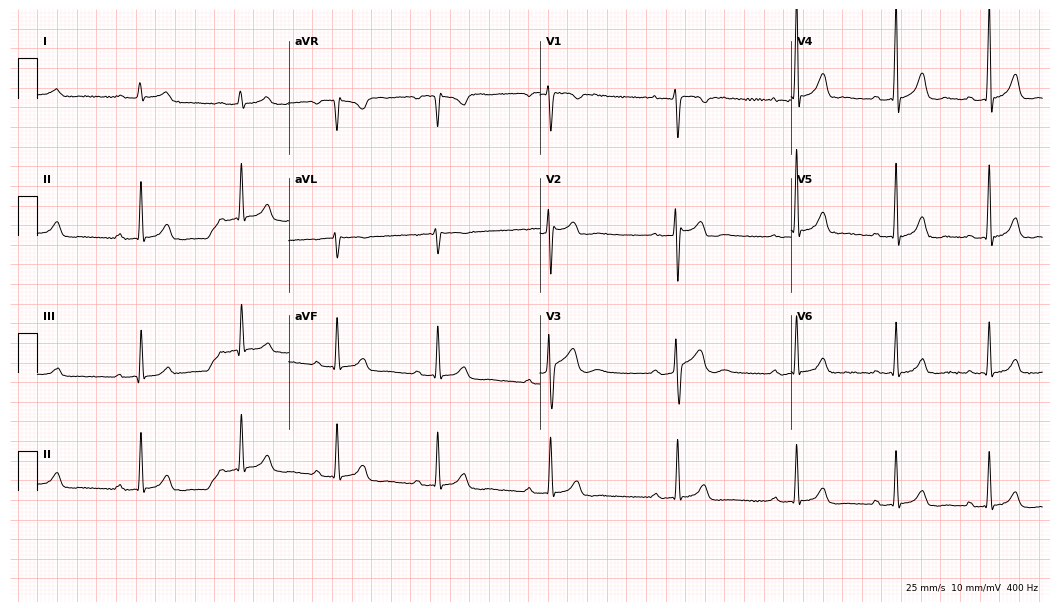
Standard 12-lead ECG recorded from a woman, 21 years old. Read as a normal ECG.